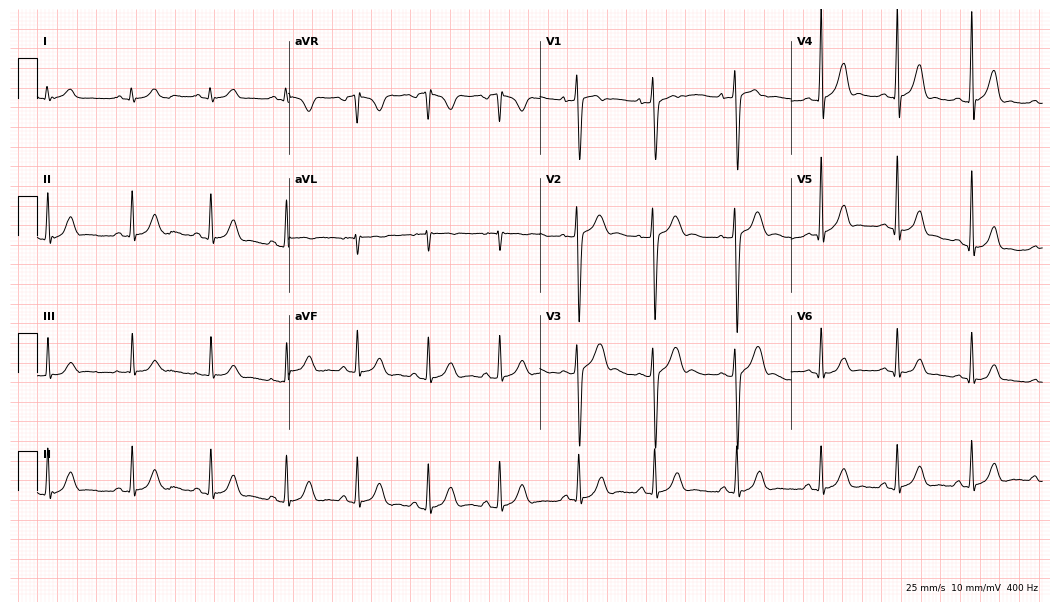
ECG — an 18-year-old male patient. Labelled as a normal ECG.